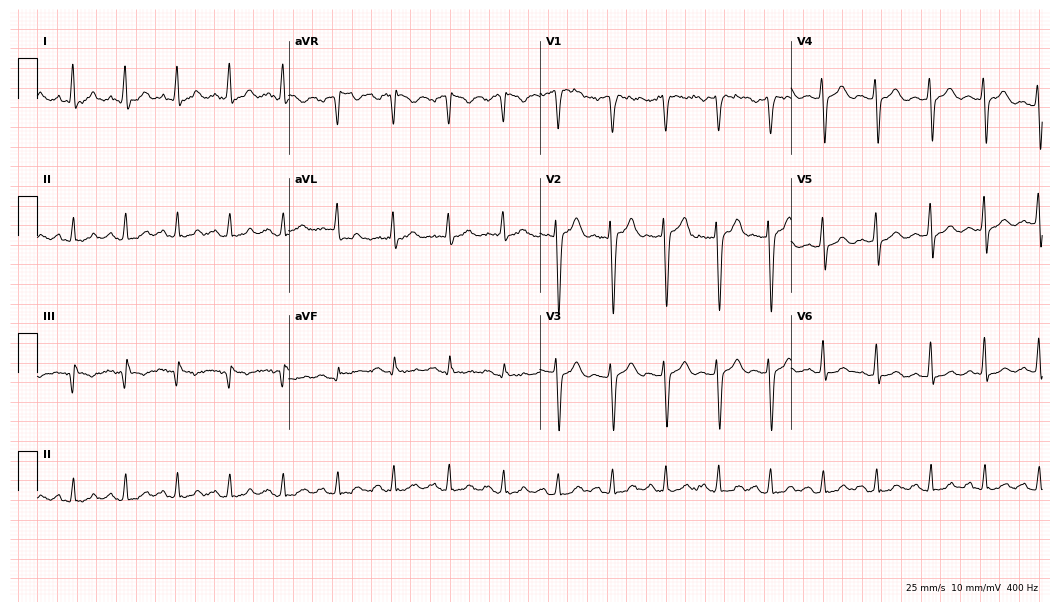
Standard 12-lead ECG recorded from a man, 34 years old (10.2-second recording at 400 Hz). None of these six findings is recorded: first-degree AV block, right bundle branch block (RBBB), left bundle branch block (LBBB), sinus bradycardia, atrial fibrillation (AF), sinus tachycardia. Findings outside these six are not listed.